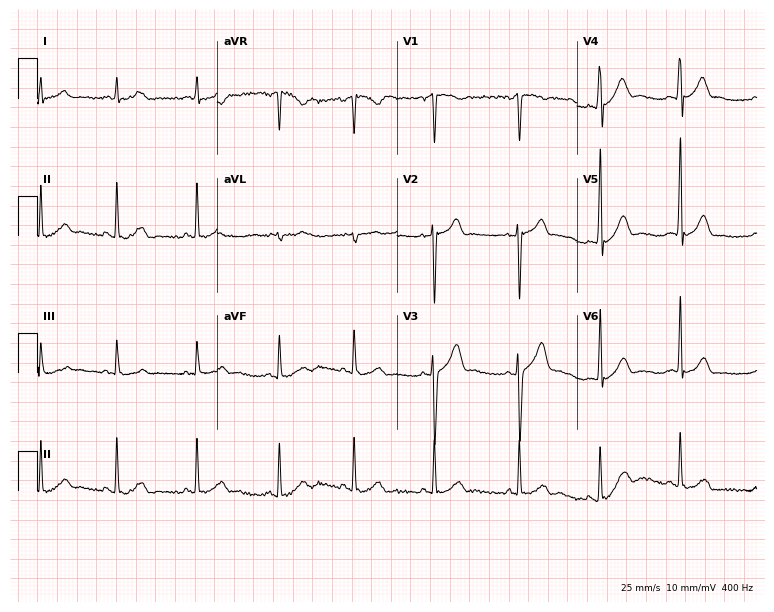
ECG — a male, 19 years old. Labelled as a normal ECG.